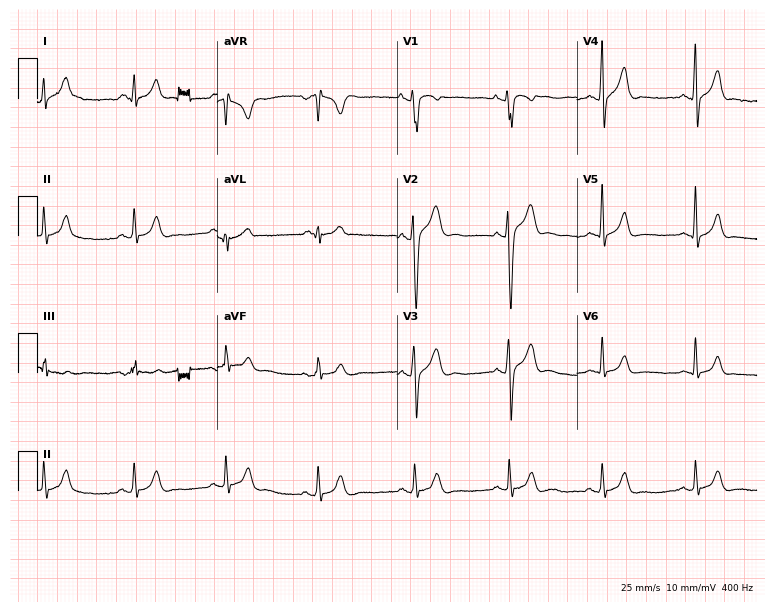
Standard 12-lead ECG recorded from a 31-year-old male. None of these six findings is recorded: first-degree AV block, right bundle branch block, left bundle branch block, sinus bradycardia, atrial fibrillation, sinus tachycardia.